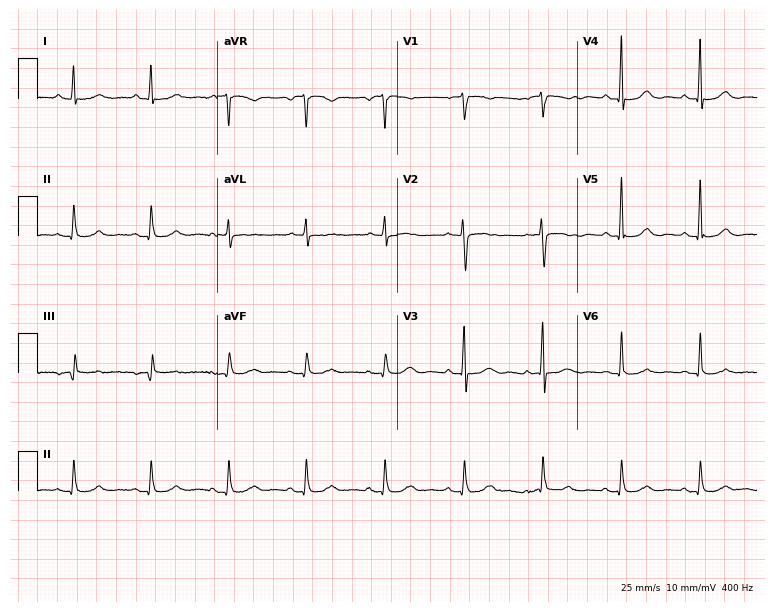
Resting 12-lead electrocardiogram (7.3-second recording at 400 Hz). Patient: a woman, 78 years old. None of these six findings is recorded: first-degree AV block, right bundle branch block, left bundle branch block, sinus bradycardia, atrial fibrillation, sinus tachycardia. Other findings, if any, are not listed.